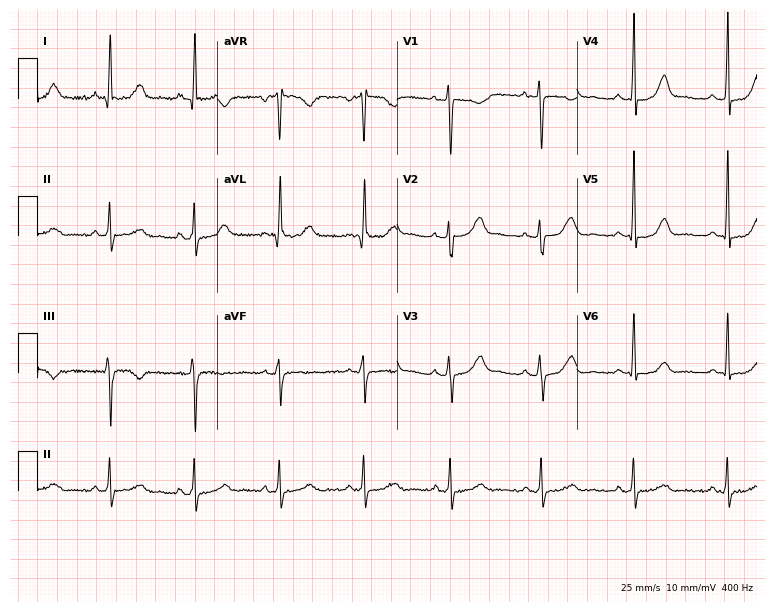
Standard 12-lead ECG recorded from a 48-year-old female (7.3-second recording at 400 Hz). None of these six findings is recorded: first-degree AV block, right bundle branch block, left bundle branch block, sinus bradycardia, atrial fibrillation, sinus tachycardia.